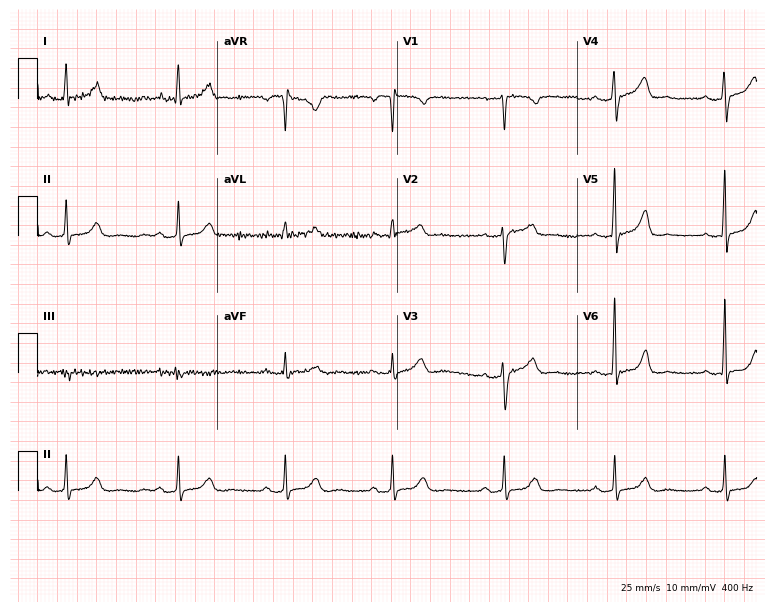
Standard 12-lead ECG recorded from a female, 44 years old (7.3-second recording at 400 Hz). Read as a normal ECG.